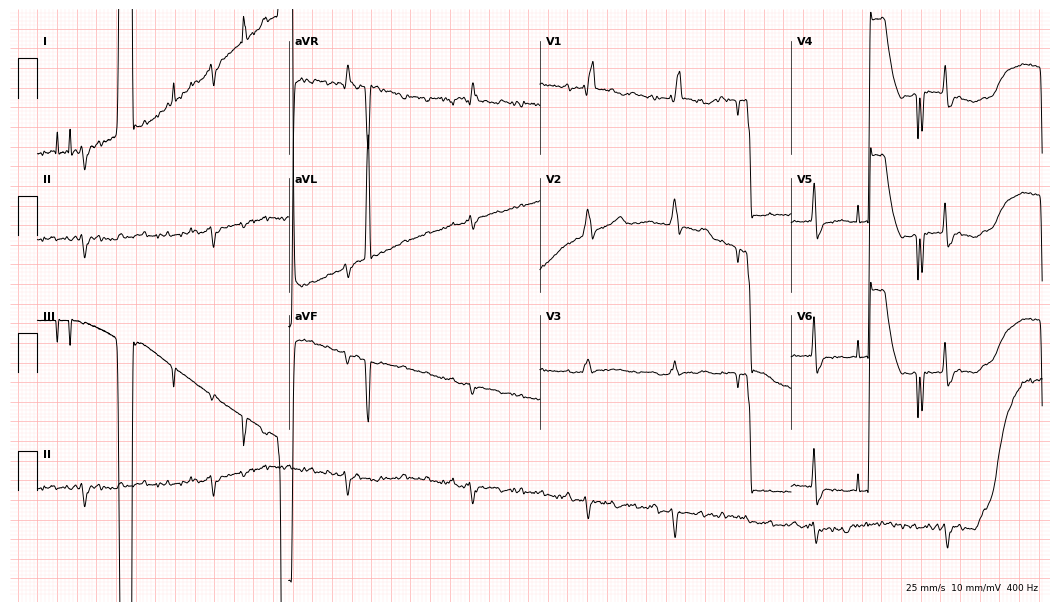
Resting 12-lead electrocardiogram. Patient: an 81-year-old female. None of these six findings is recorded: first-degree AV block, right bundle branch block, left bundle branch block, sinus bradycardia, atrial fibrillation, sinus tachycardia. Findings outside these six are not listed.